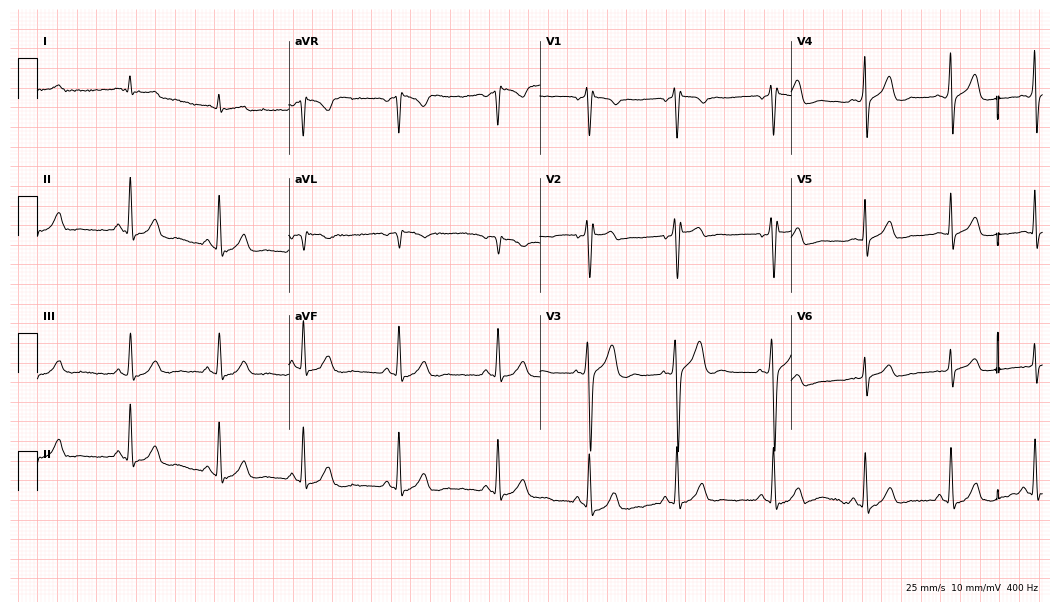
Electrocardiogram (10.2-second recording at 400 Hz), a 43-year-old male patient. Overall reading on record: normal ECG.